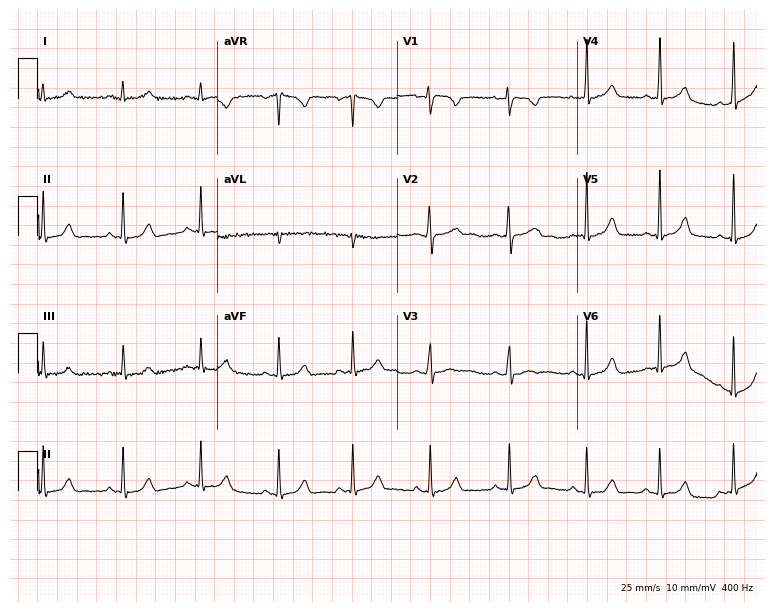
ECG — a female, 17 years old. Labelled as a normal ECG.